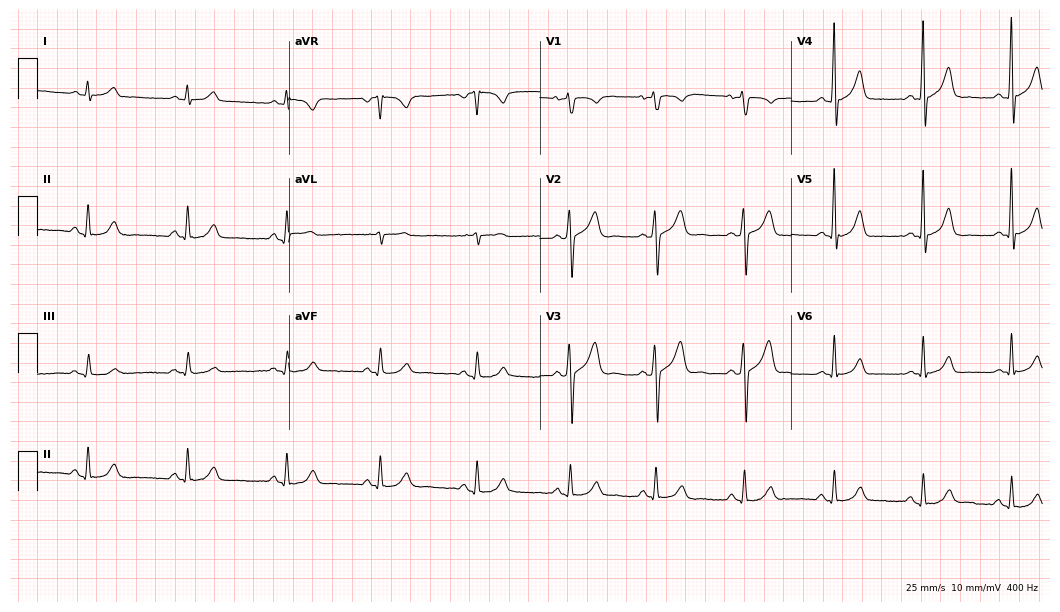
Electrocardiogram, a man, 43 years old. Overall reading on record: normal ECG.